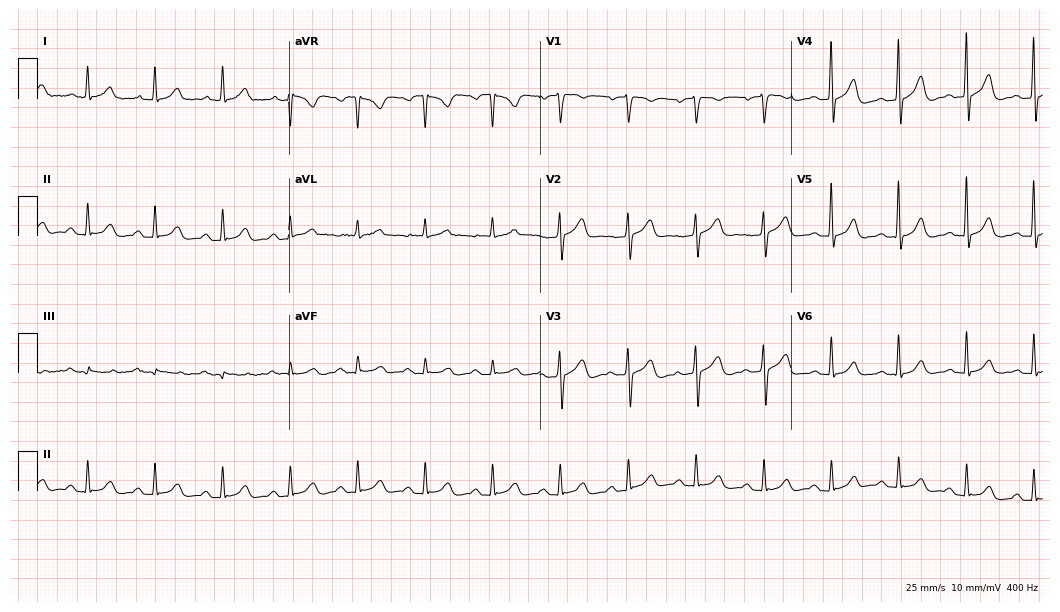
Electrocardiogram, a man, 67 years old. Overall reading on record: normal ECG.